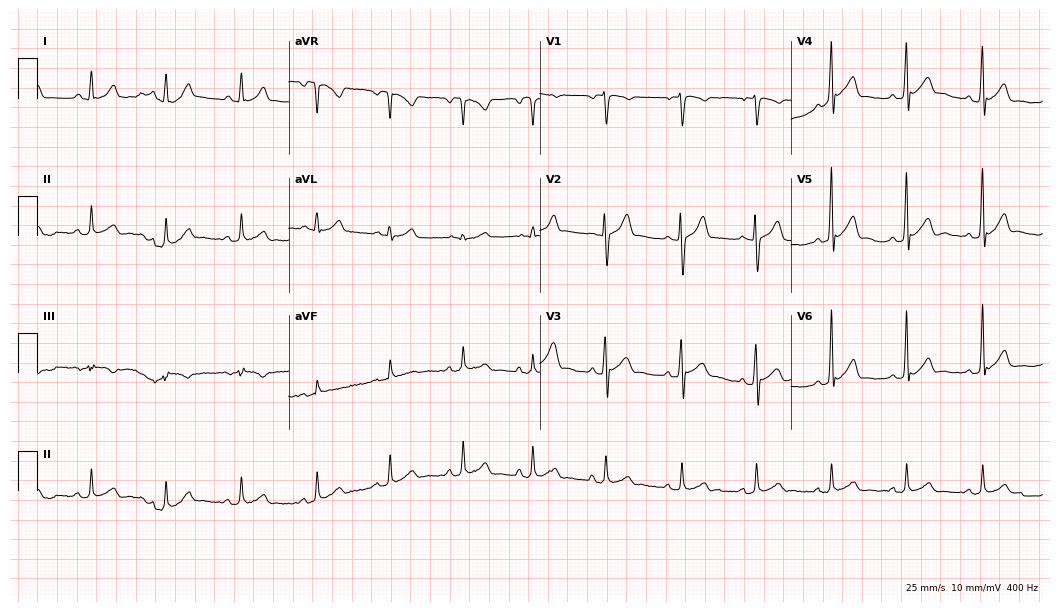
Electrocardiogram, a 29-year-old male patient. Overall reading on record: normal ECG.